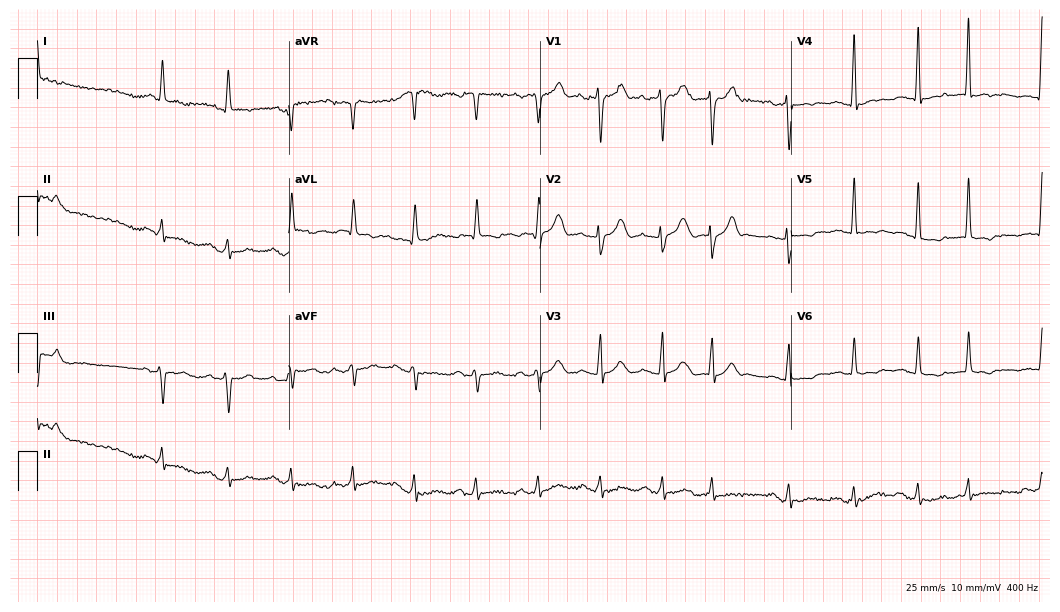
Resting 12-lead electrocardiogram (10.2-second recording at 400 Hz). Patient: an 85-year-old woman. None of these six findings is recorded: first-degree AV block, right bundle branch block, left bundle branch block, sinus bradycardia, atrial fibrillation, sinus tachycardia. Findings outside these six are not listed.